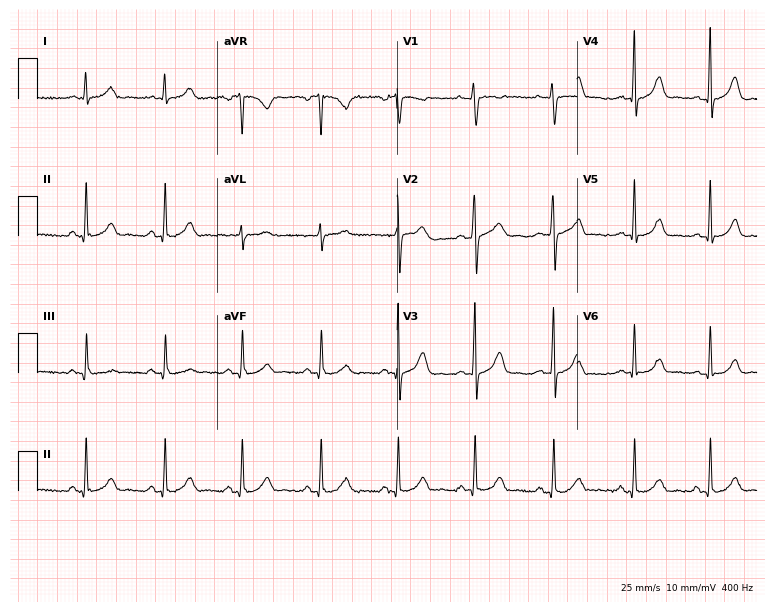
Standard 12-lead ECG recorded from a woman, 30 years old. Read as a normal ECG.